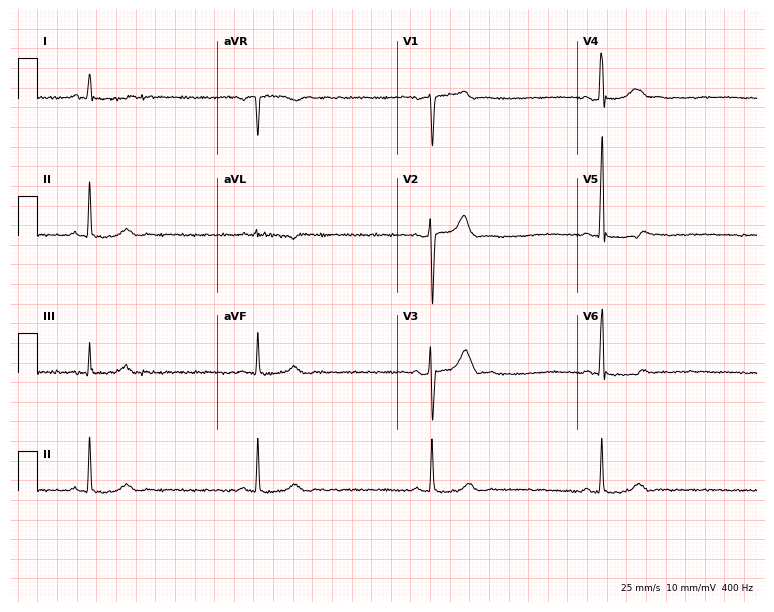
ECG — a male patient, 50 years old. Screened for six findings — first-degree AV block, right bundle branch block (RBBB), left bundle branch block (LBBB), sinus bradycardia, atrial fibrillation (AF), sinus tachycardia — none is recorded.